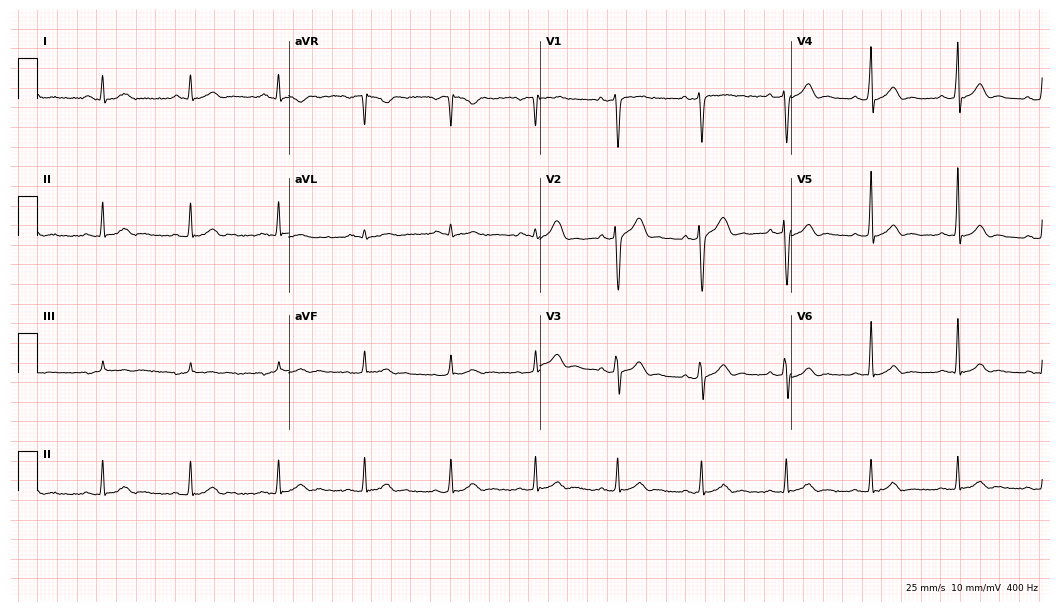
12-lead ECG from a male, 34 years old (10.2-second recording at 400 Hz). Recorded interpretation: within normal limits.